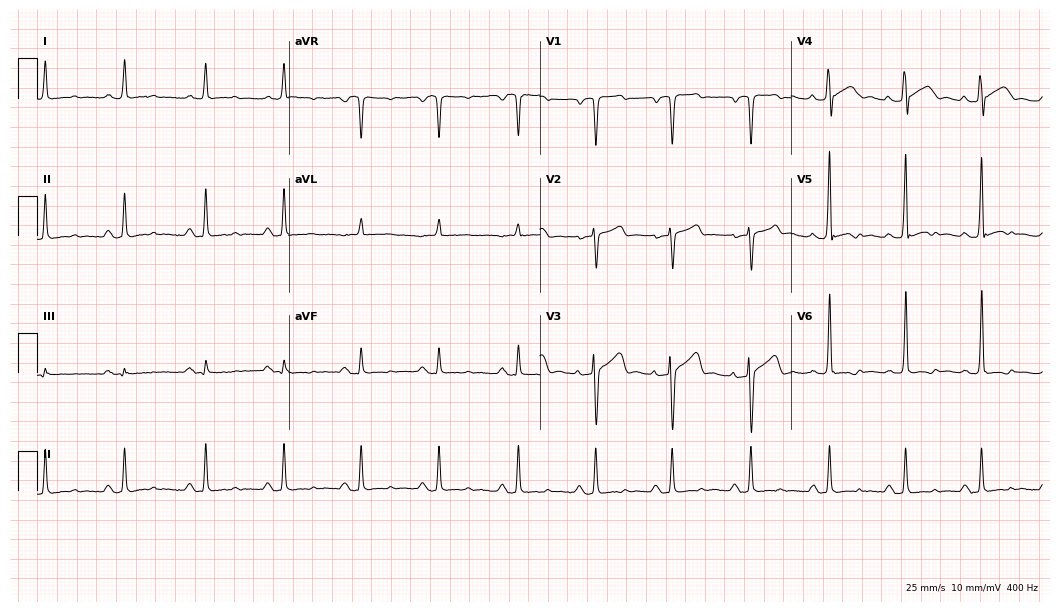
12-lead ECG (10.2-second recording at 400 Hz) from a male, 69 years old. Screened for six findings — first-degree AV block, right bundle branch block, left bundle branch block, sinus bradycardia, atrial fibrillation, sinus tachycardia — none is recorded.